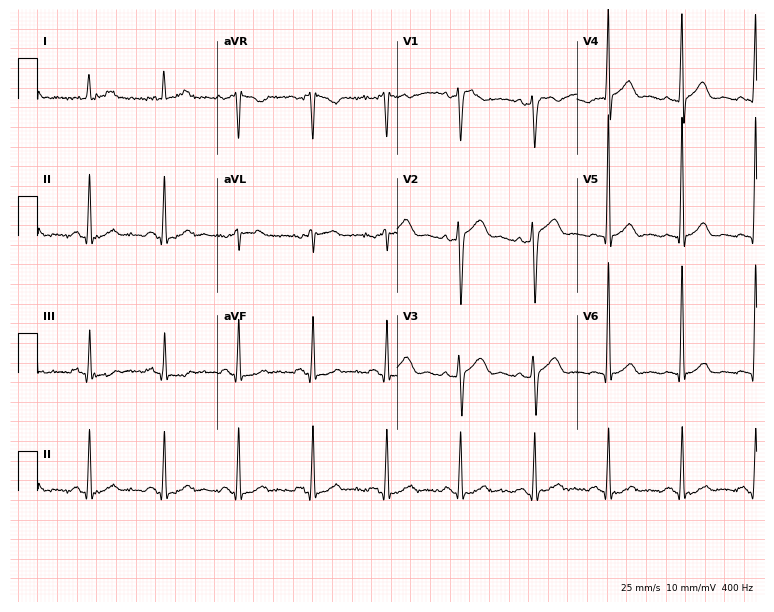
Standard 12-lead ECG recorded from a male patient, 55 years old (7.3-second recording at 400 Hz). Read as a normal ECG.